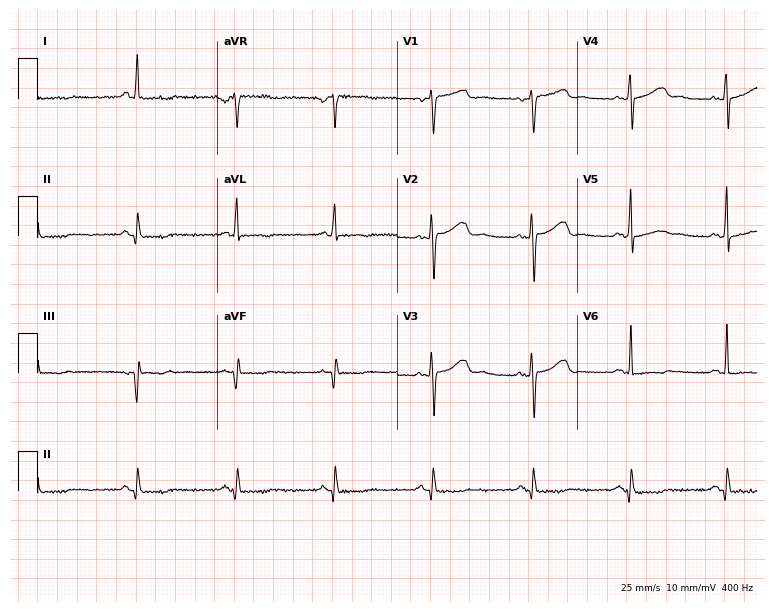
12-lead ECG from a 50-year-old female (7.3-second recording at 400 Hz). No first-degree AV block, right bundle branch block (RBBB), left bundle branch block (LBBB), sinus bradycardia, atrial fibrillation (AF) or sinus tachycardia recorded for this tracing.